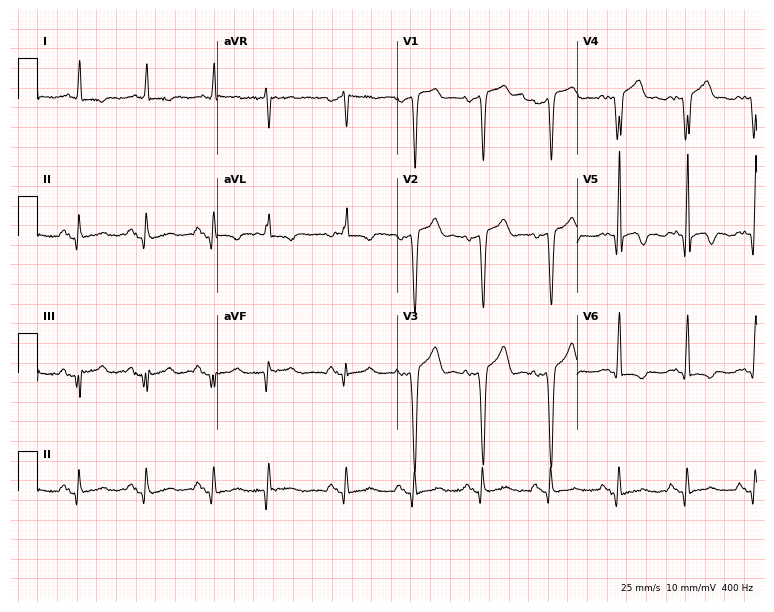
Standard 12-lead ECG recorded from a female patient, 82 years old (7.3-second recording at 400 Hz). None of these six findings is recorded: first-degree AV block, right bundle branch block (RBBB), left bundle branch block (LBBB), sinus bradycardia, atrial fibrillation (AF), sinus tachycardia.